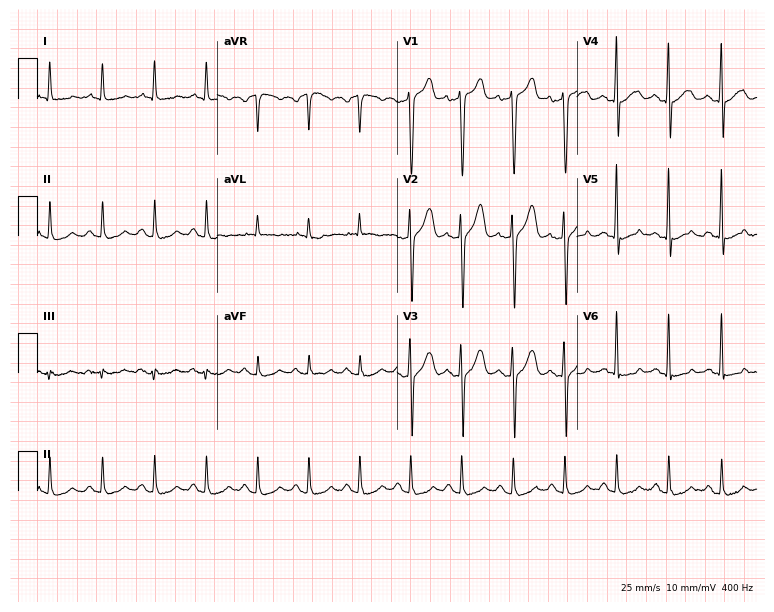
Electrocardiogram, an 83-year-old male. Interpretation includes sinus tachycardia (a sinus rate of 100 beats per minute or more).